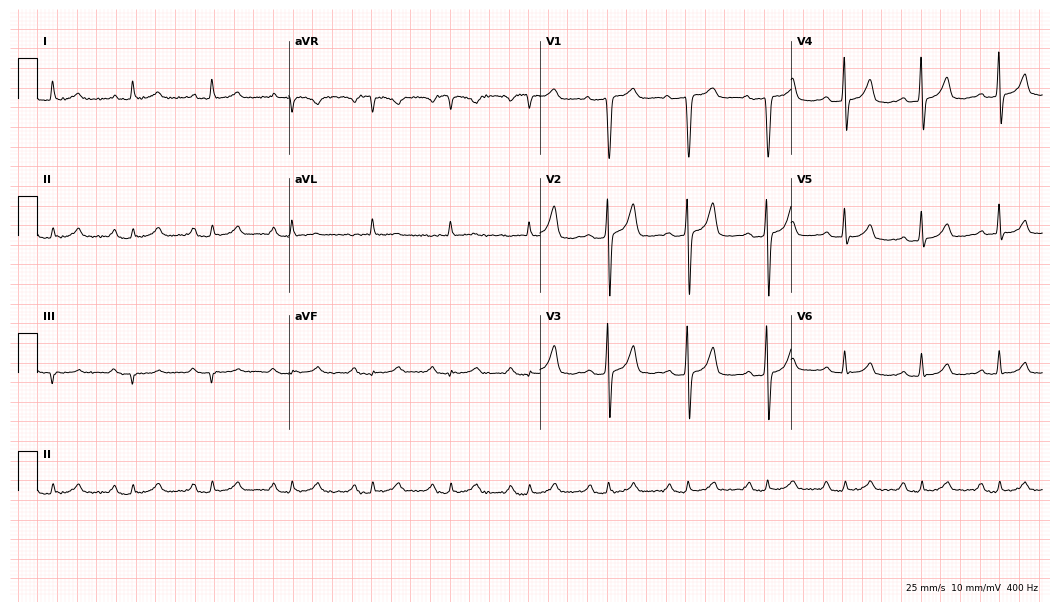
12-lead ECG from a 70-year-old man. No first-degree AV block, right bundle branch block (RBBB), left bundle branch block (LBBB), sinus bradycardia, atrial fibrillation (AF) or sinus tachycardia recorded for this tracing.